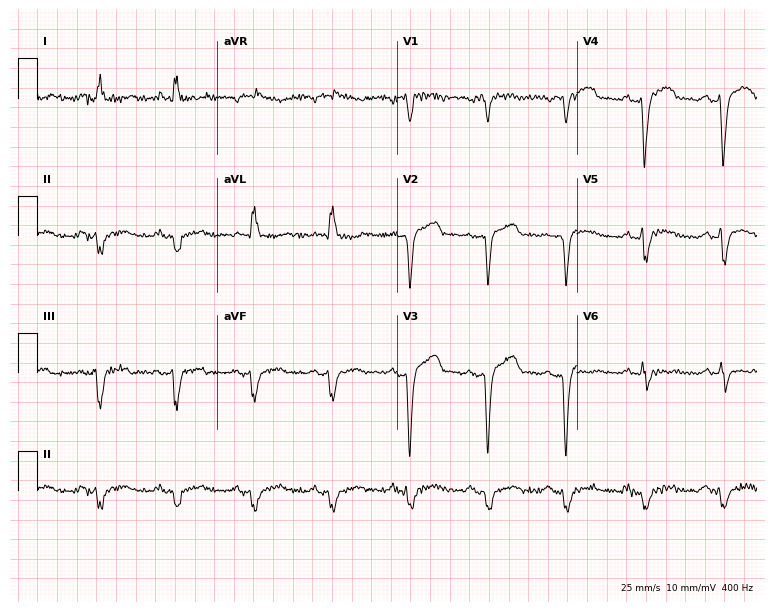
12-lead ECG from a male, 61 years old. Findings include left bundle branch block (LBBB).